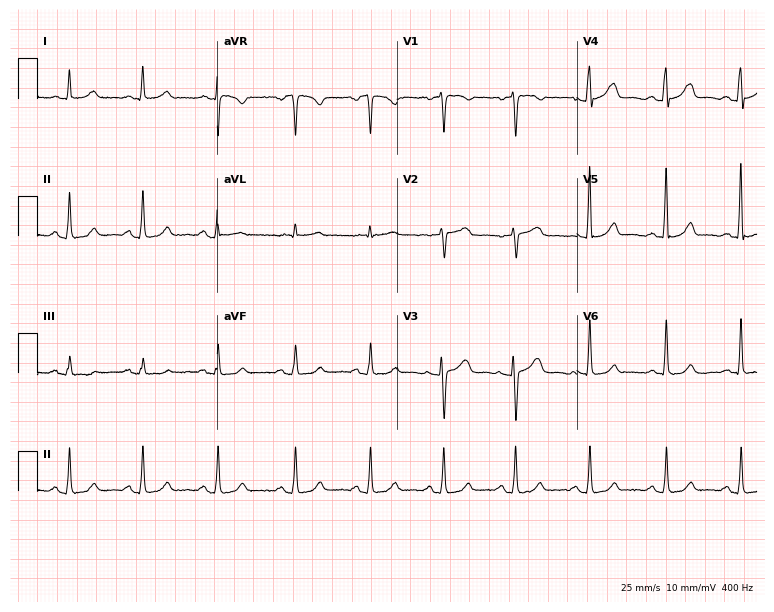
12-lead ECG from a female patient, 59 years old. Recorded interpretation: within normal limits.